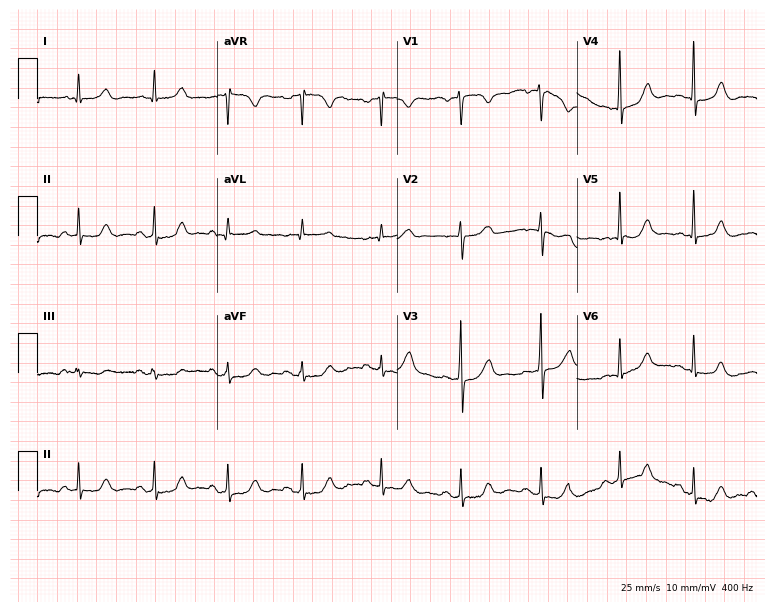
12-lead ECG from a 37-year-old female patient (7.3-second recording at 400 Hz). Recorded interpretation: within normal limits.